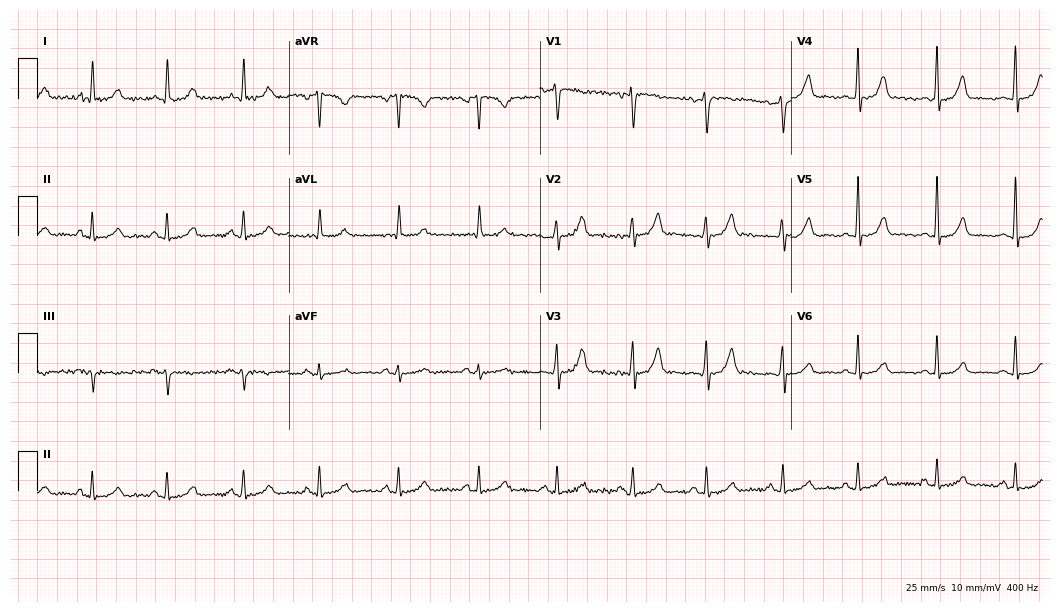
Standard 12-lead ECG recorded from a 45-year-old female patient. Read as a normal ECG.